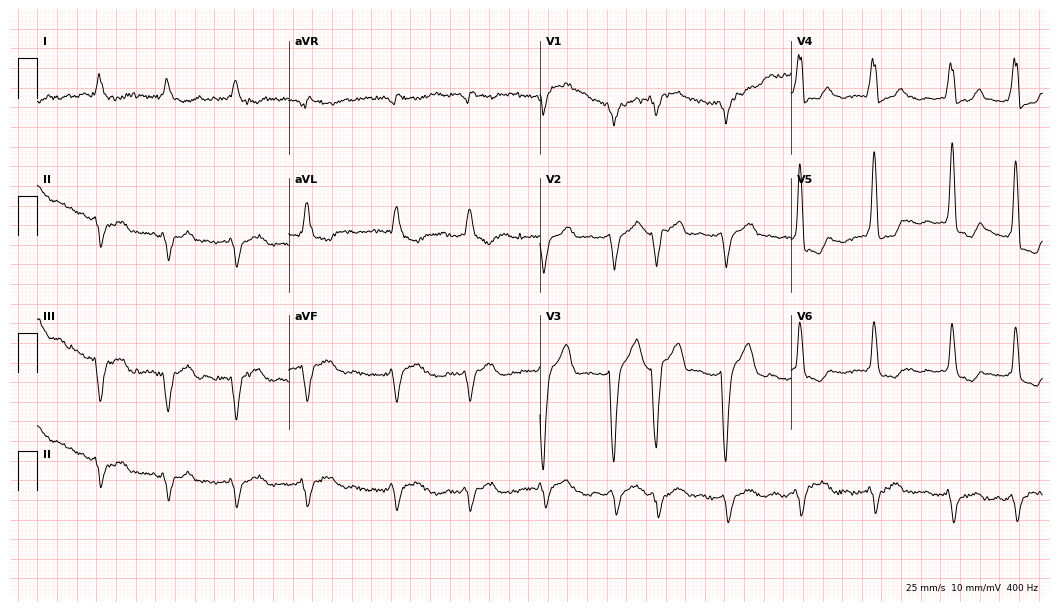
ECG (10.2-second recording at 400 Hz) — a man, 74 years old. Findings include left bundle branch block, atrial fibrillation.